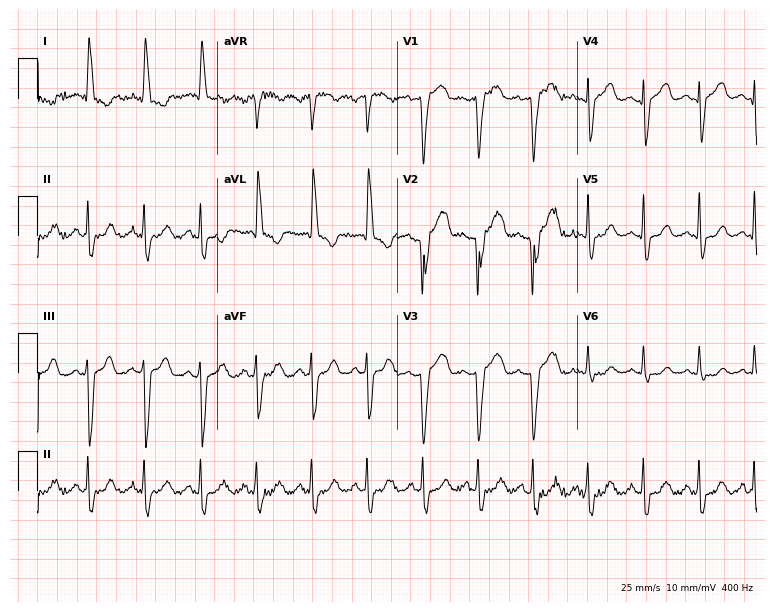
ECG (7.3-second recording at 400 Hz) — a female patient, 60 years old. Screened for six findings — first-degree AV block, right bundle branch block, left bundle branch block, sinus bradycardia, atrial fibrillation, sinus tachycardia — none is recorded.